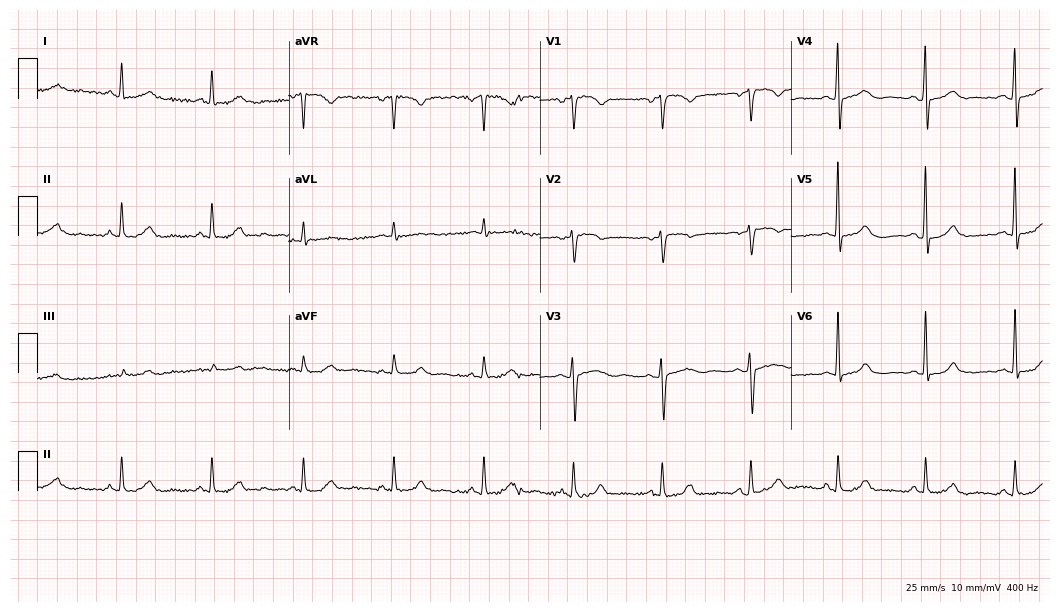
Electrocardiogram, a woman, 51 years old. Overall reading on record: normal ECG.